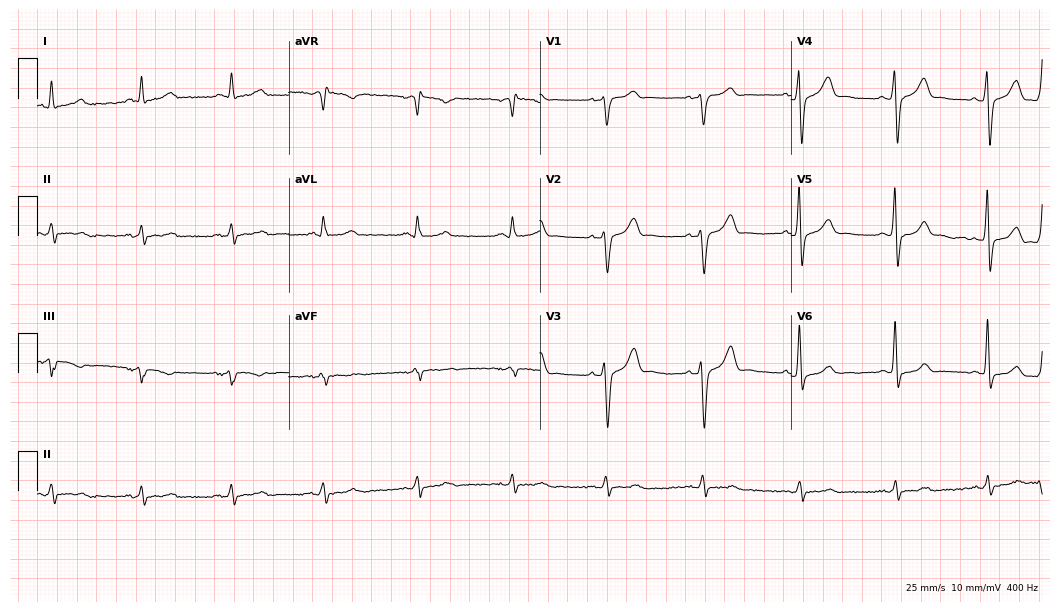
12-lead ECG from a 62-year-old male. No first-degree AV block, right bundle branch block (RBBB), left bundle branch block (LBBB), sinus bradycardia, atrial fibrillation (AF) or sinus tachycardia recorded for this tracing. Findings outside these six are not listed.